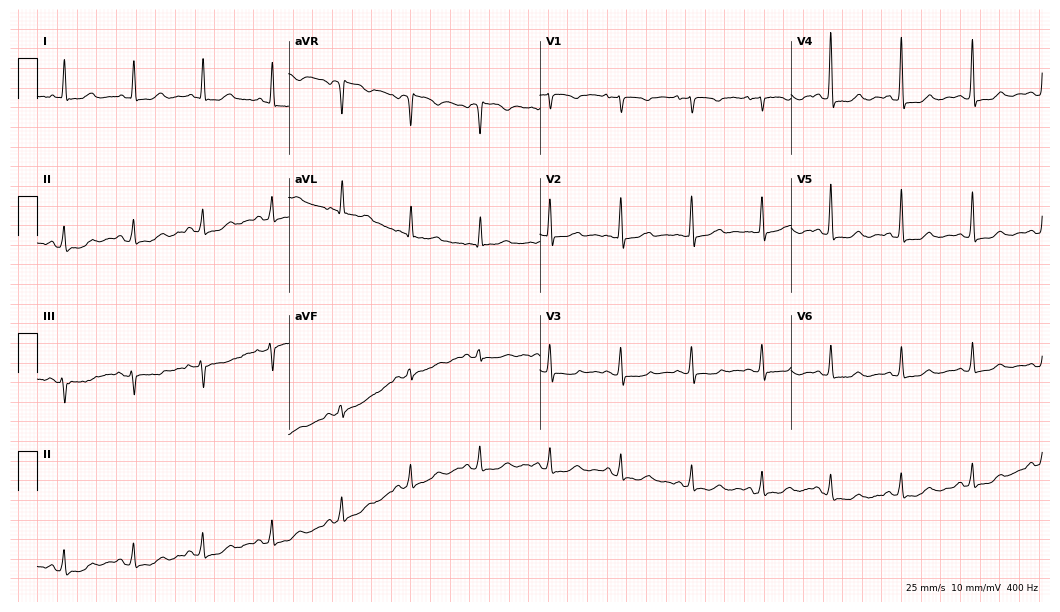
Standard 12-lead ECG recorded from a 64-year-old woman. None of these six findings is recorded: first-degree AV block, right bundle branch block, left bundle branch block, sinus bradycardia, atrial fibrillation, sinus tachycardia.